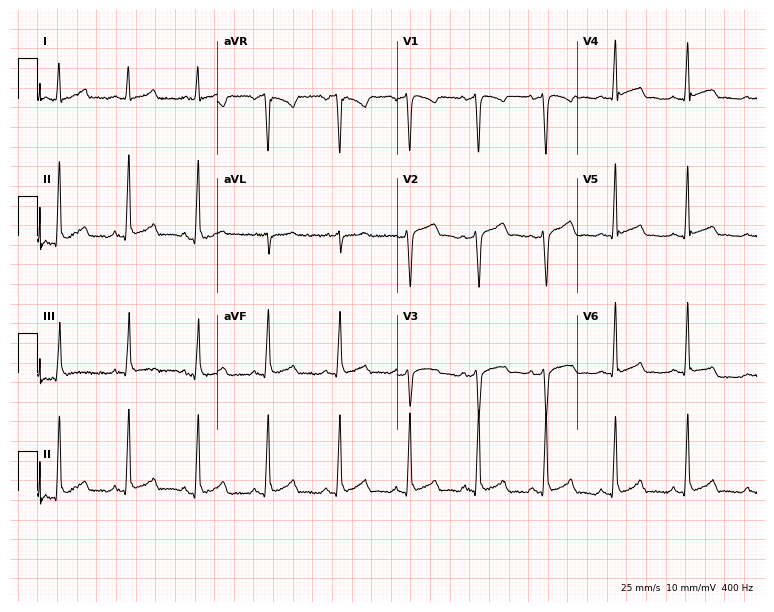
Standard 12-lead ECG recorded from a 26-year-old woman. Read as a normal ECG.